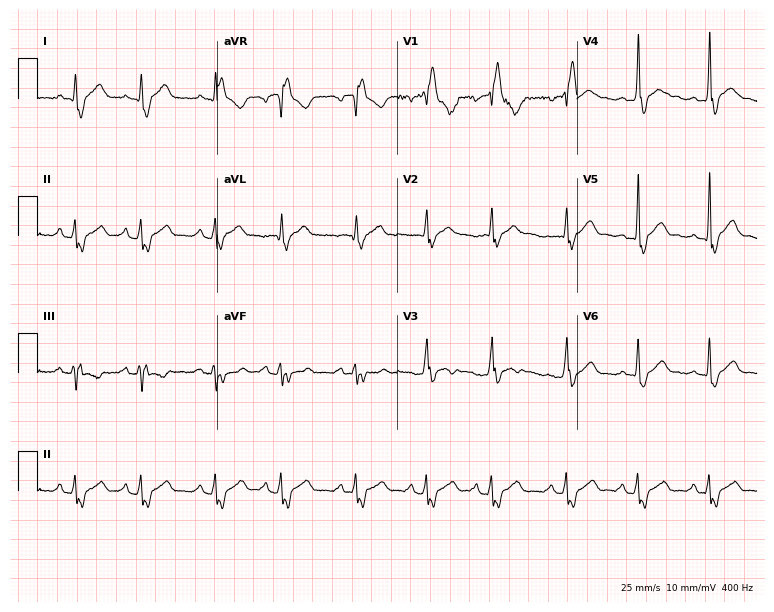
ECG — a 39-year-old male patient. Screened for six findings — first-degree AV block, right bundle branch block (RBBB), left bundle branch block (LBBB), sinus bradycardia, atrial fibrillation (AF), sinus tachycardia — none is recorded. Other findings, if any, are not listed.